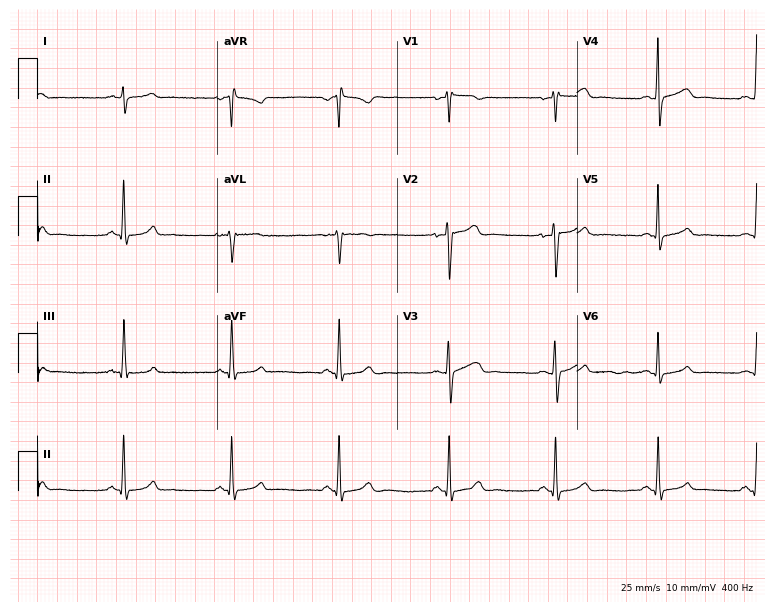
12-lead ECG from a man, 31 years old (7.3-second recording at 400 Hz). No first-degree AV block, right bundle branch block (RBBB), left bundle branch block (LBBB), sinus bradycardia, atrial fibrillation (AF) or sinus tachycardia recorded for this tracing.